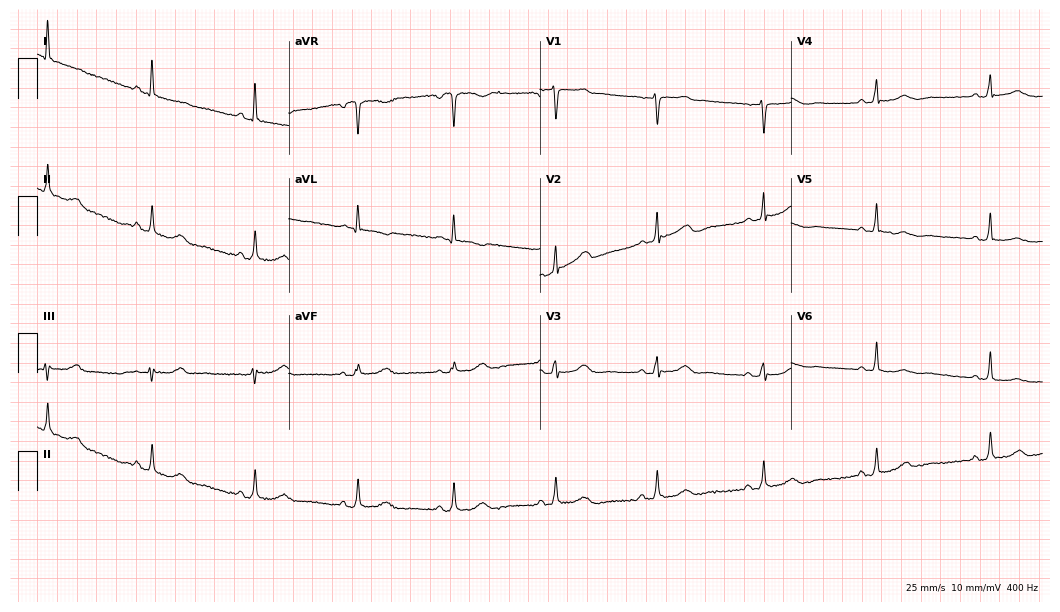
ECG (10.2-second recording at 400 Hz) — a 61-year-old woman. Screened for six findings — first-degree AV block, right bundle branch block, left bundle branch block, sinus bradycardia, atrial fibrillation, sinus tachycardia — none is recorded.